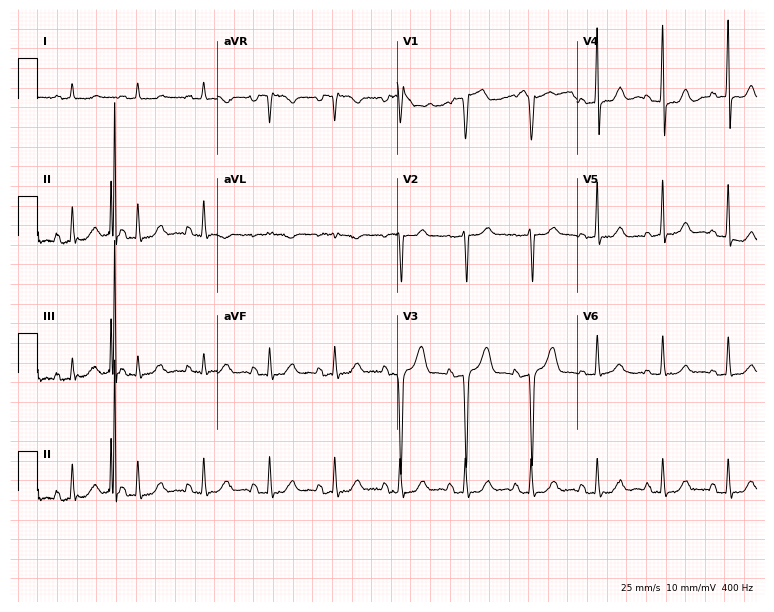
12-lead ECG from a female patient, 81 years old. Labelled as a normal ECG.